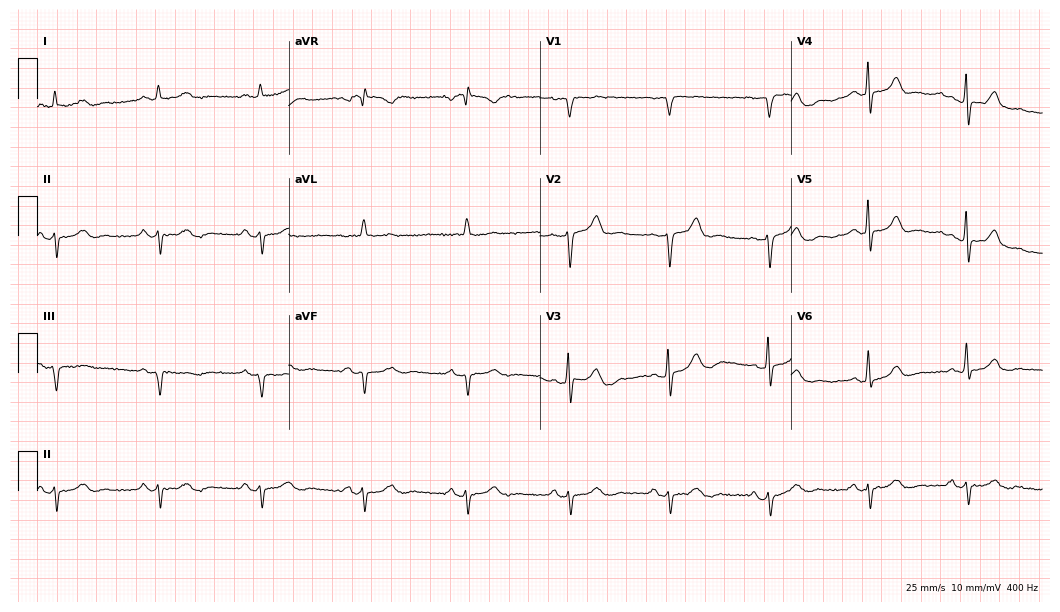
ECG — a female, 81 years old. Labelled as a normal ECG.